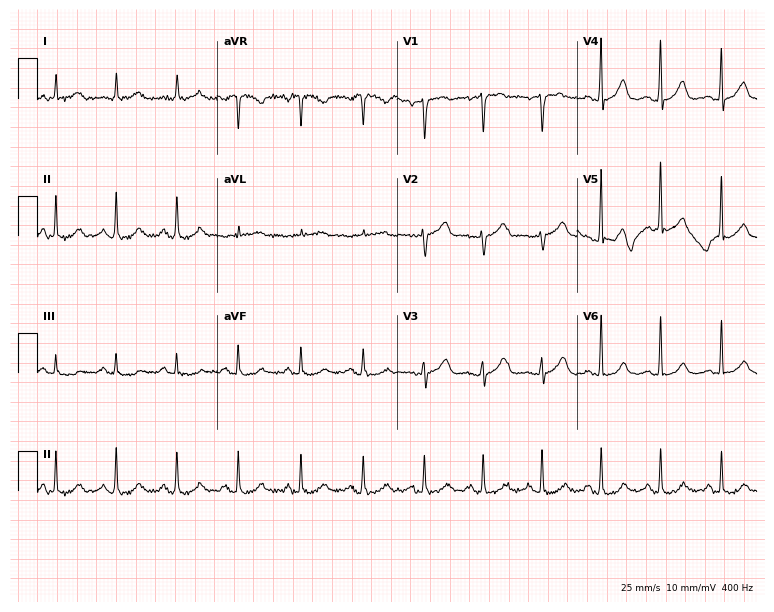
12-lead ECG from a female patient, 57 years old. Recorded interpretation: within normal limits.